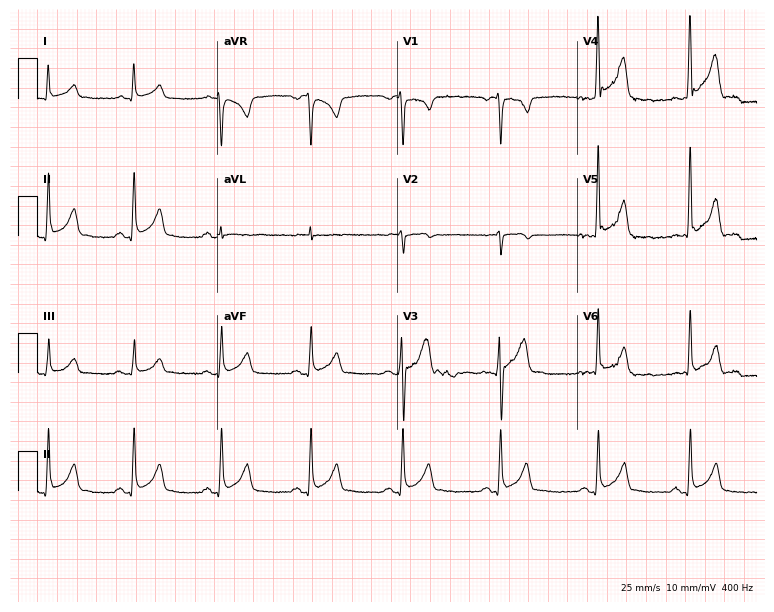
12-lead ECG (7.3-second recording at 400 Hz) from a male, 42 years old. Labelled as a normal ECG.